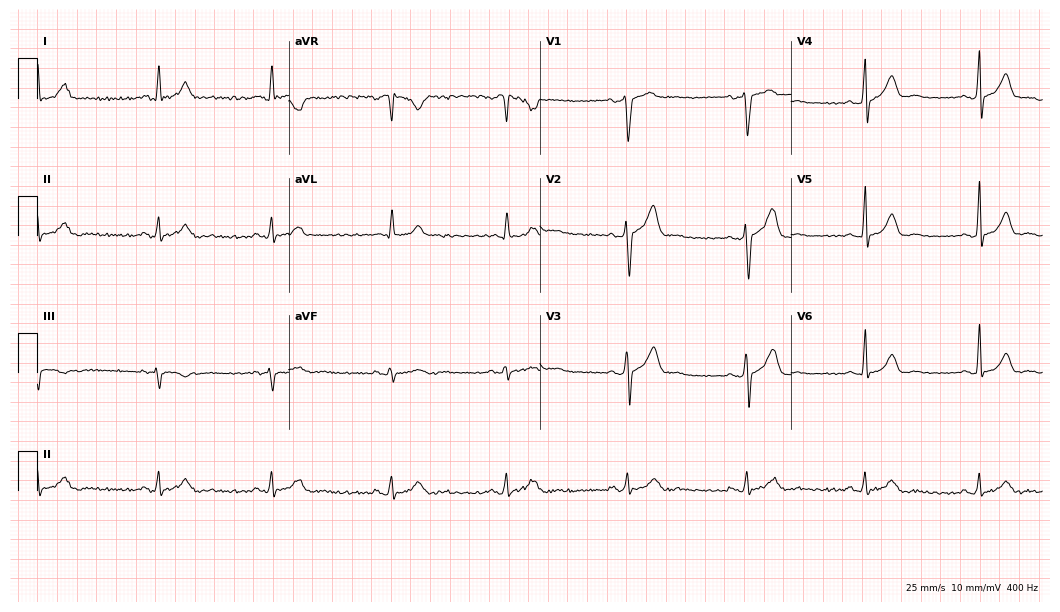
12-lead ECG from a male patient, 42 years old. Labelled as a normal ECG.